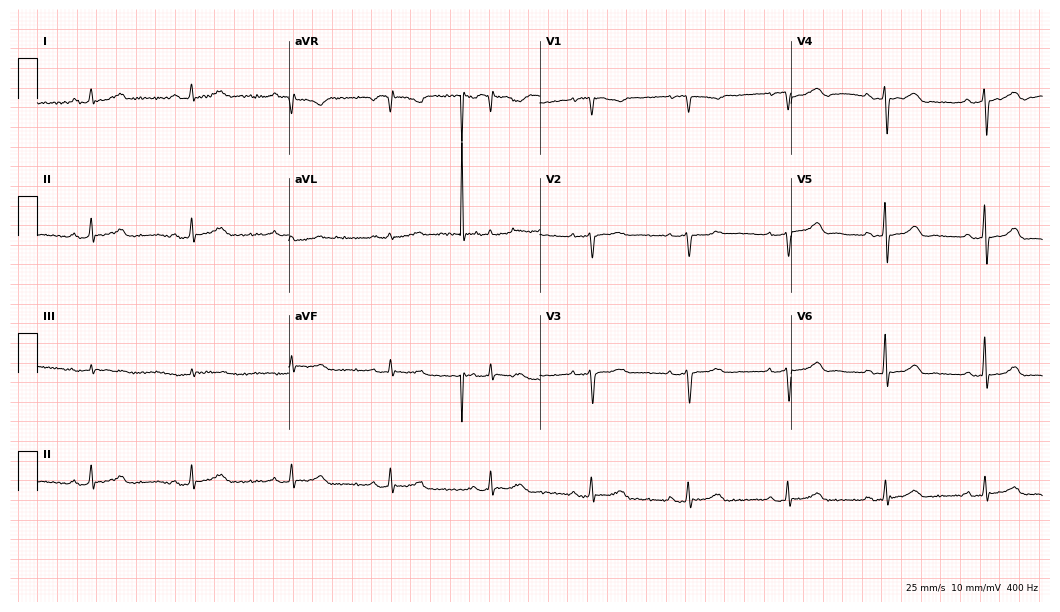
ECG (10.2-second recording at 400 Hz) — a female, 71 years old. Labelled as a normal ECG.